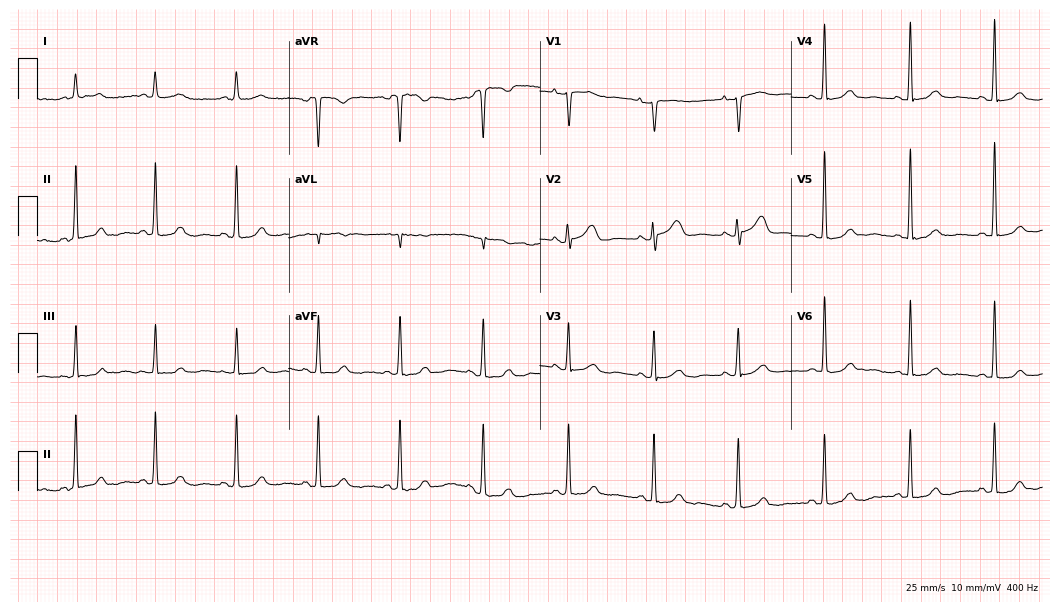
12-lead ECG (10.2-second recording at 400 Hz) from a 78-year-old female. Labelled as a normal ECG.